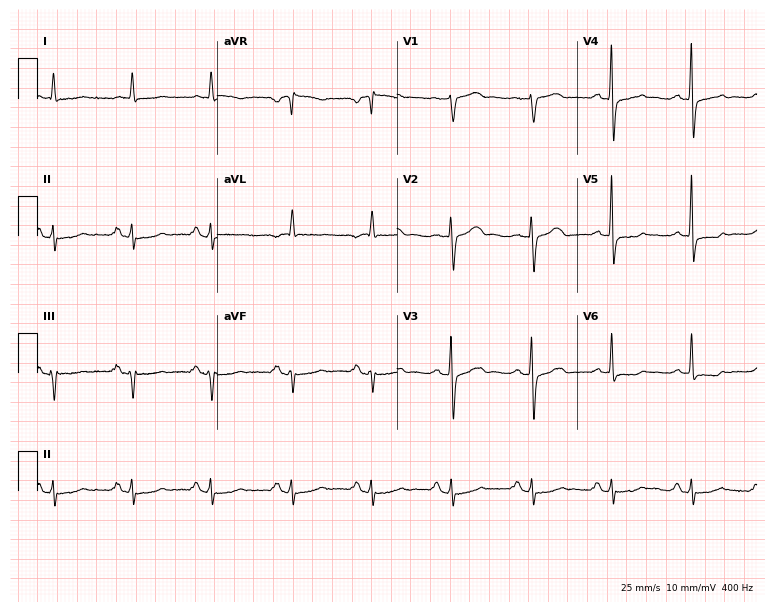
Resting 12-lead electrocardiogram (7.3-second recording at 400 Hz). Patient: an 84-year-old male. None of these six findings is recorded: first-degree AV block, right bundle branch block (RBBB), left bundle branch block (LBBB), sinus bradycardia, atrial fibrillation (AF), sinus tachycardia.